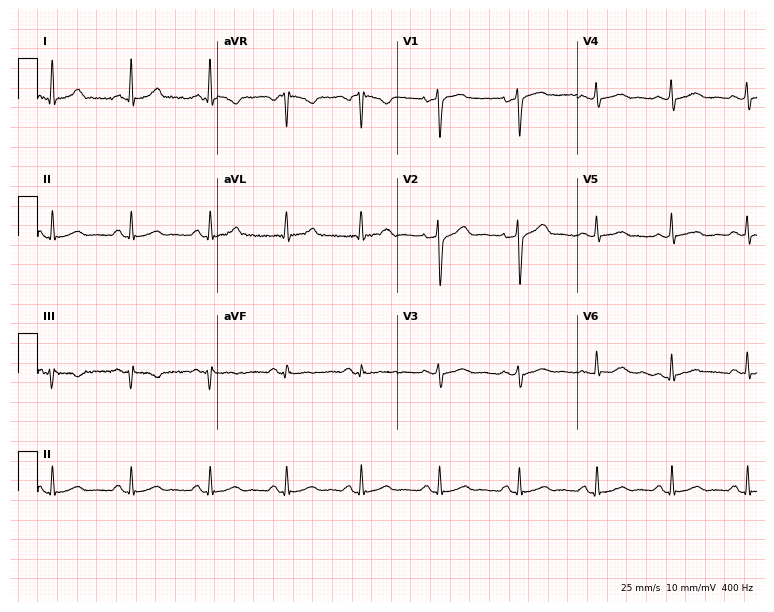
12-lead ECG from a female, 38 years old. Screened for six findings — first-degree AV block, right bundle branch block, left bundle branch block, sinus bradycardia, atrial fibrillation, sinus tachycardia — none is recorded.